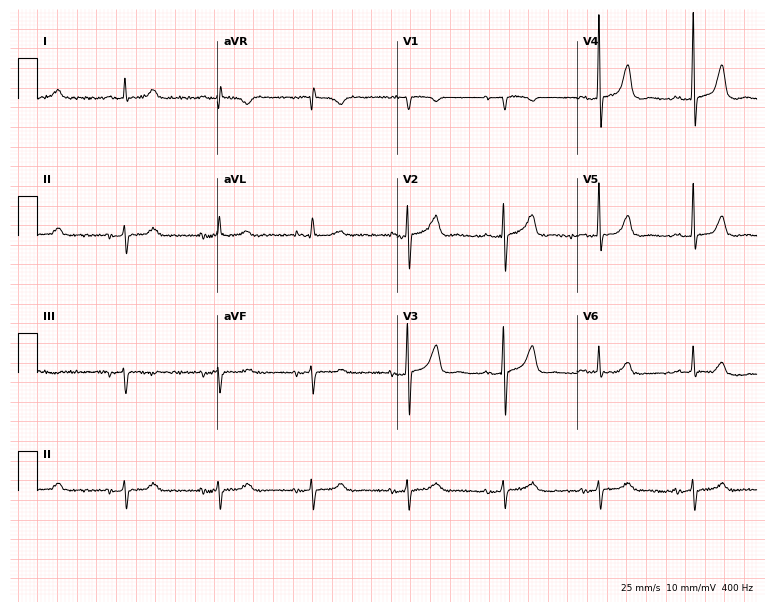
ECG (7.3-second recording at 400 Hz) — a female, 85 years old. Screened for six findings — first-degree AV block, right bundle branch block (RBBB), left bundle branch block (LBBB), sinus bradycardia, atrial fibrillation (AF), sinus tachycardia — none is recorded.